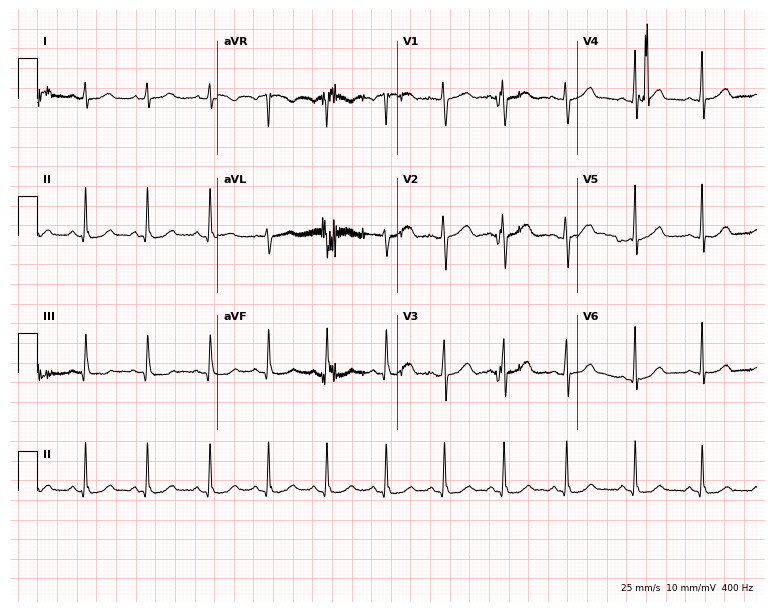
12-lead ECG from a 34-year-old female. Recorded interpretation: within normal limits.